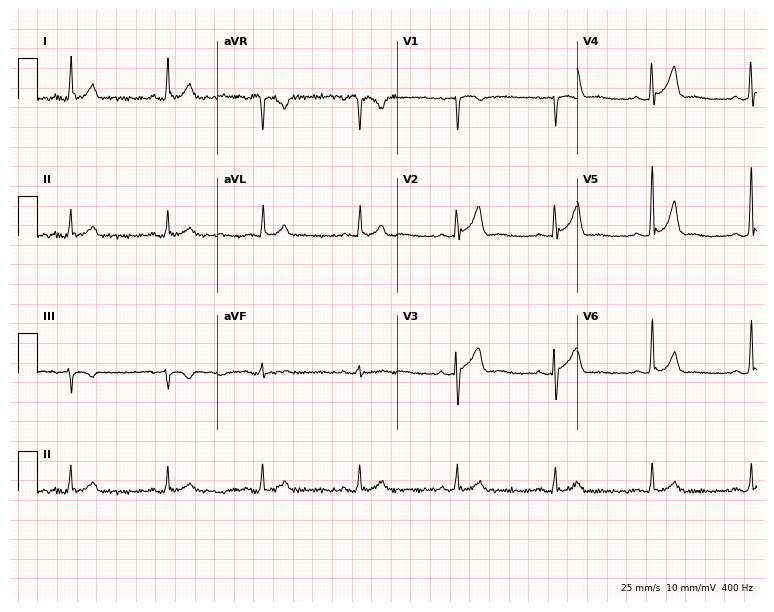
Electrocardiogram (7.3-second recording at 400 Hz), a female, 49 years old. Overall reading on record: normal ECG.